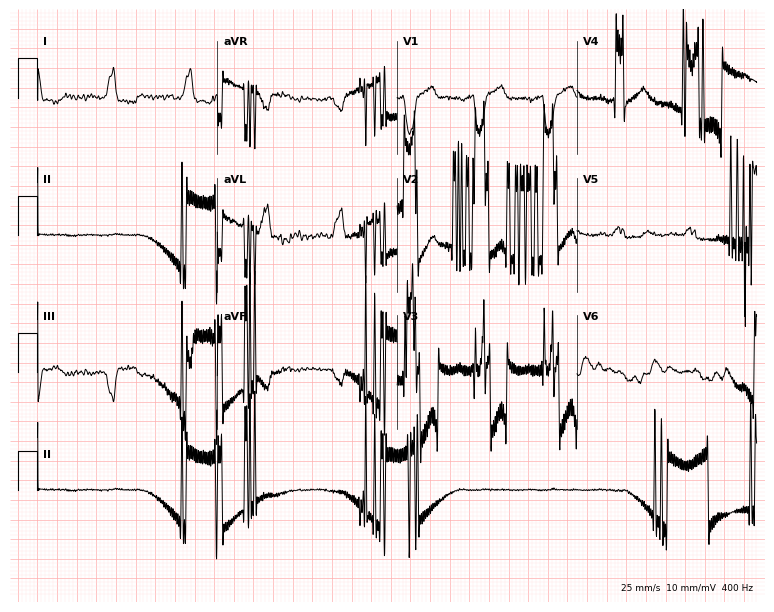
Electrocardiogram (7.3-second recording at 400 Hz), a 62-year-old man. Of the six screened findings (first-degree AV block, right bundle branch block (RBBB), left bundle branch block (LBBB), sinus bradycardia, atrial fibrillation (AF), sinus tachycardia), none is recorded.